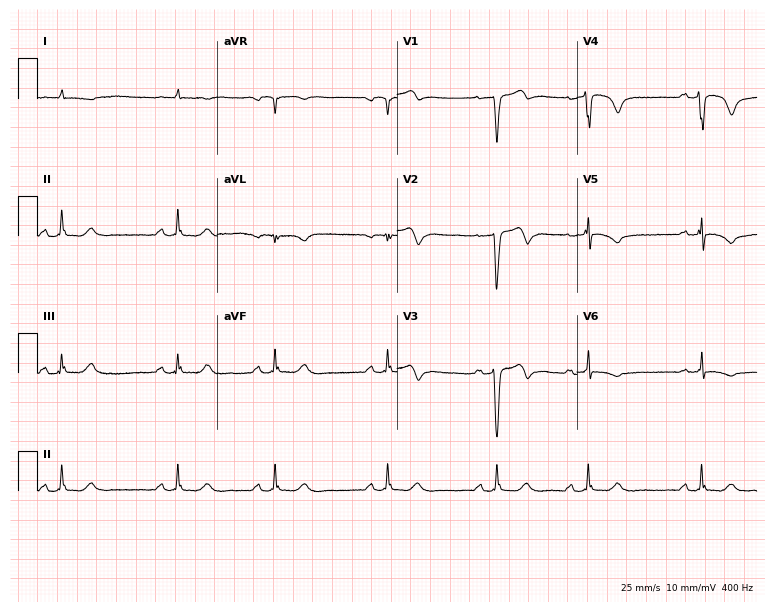
12-lead ECG from a male, 77 years old. Screened for six findings — first-degree AV block, right bundle branch block, left bundle branch block, sinus bradycardia, atrial fibrillation, sinus tachycardia — none is recorded.